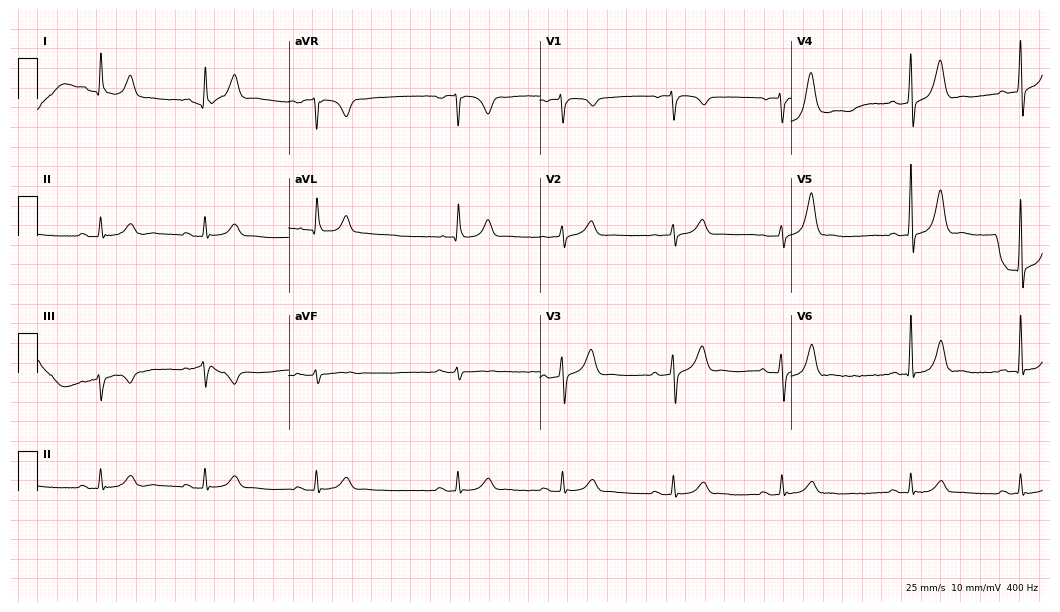
12-lead ECG from an 83-year-old male patient (10.2-second recording at 400 Hz). Recorded interpretation: within normal limits.